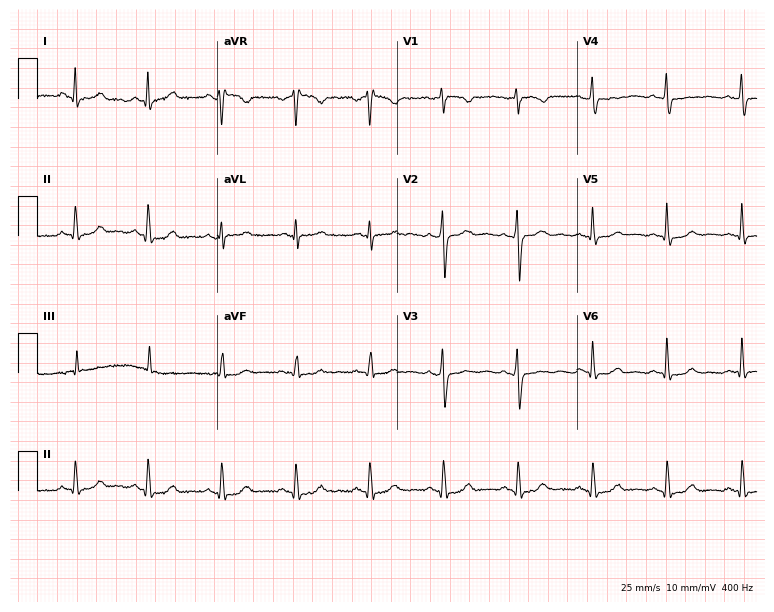
ECG — a 51-year-old female. Screened for six findings — first-degree AV block, right bundle branch block, left bundle branch block, sinus bradycardia, atrial fibrillation, sinus tachycardia — none is recorded.